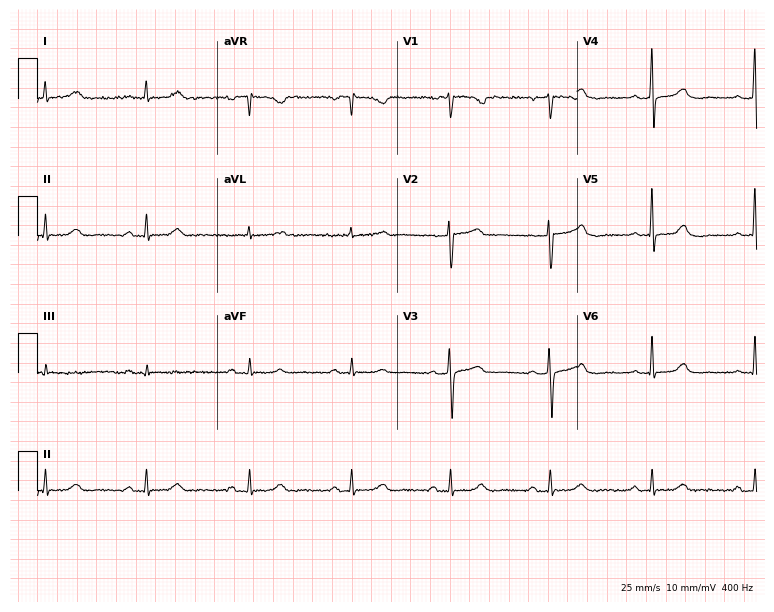
12-lead ECG from a 65-year-old woman (7.3-second recording at 400 Hz). No first-degree AV block, right bundle branch block (RBBB), left bundle branch block (LBBB), sinus bradycardia, atrial fibrillation (AF) or sinus tachycardia recorded for this tracing. Findings outside these six are not listed.